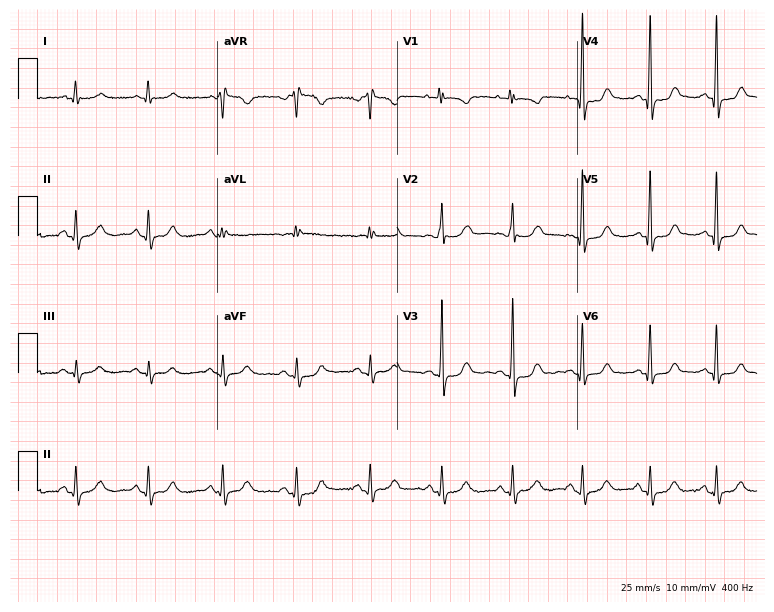
12-lead ECG from a 61-year-old woman (7.3-second recording at 400 Hz). Recorded interpretation: within normal limits.